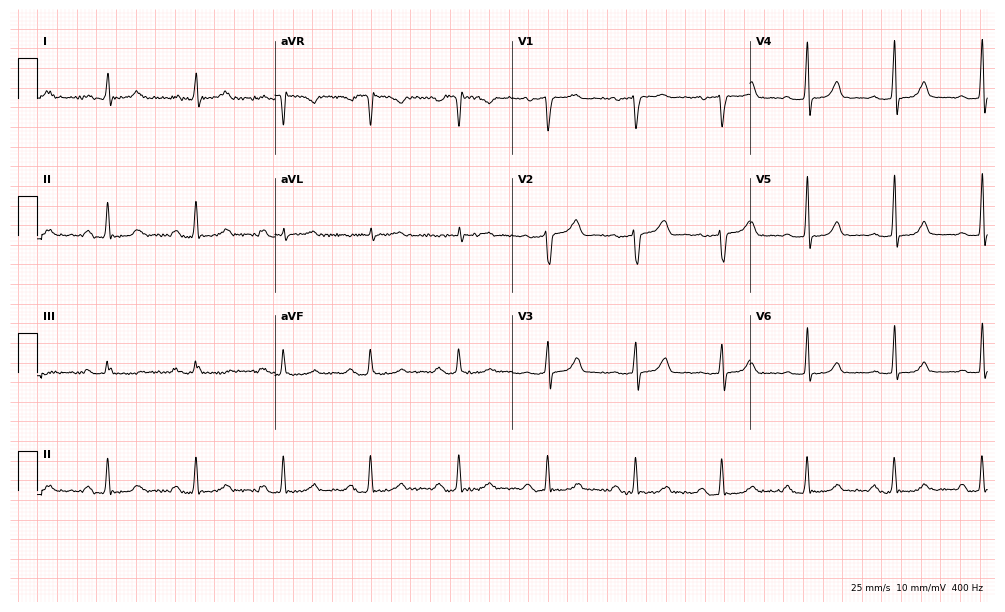
Standard 12-lead ECG recorded from a female, 48 years old. Read as a normal ECG.